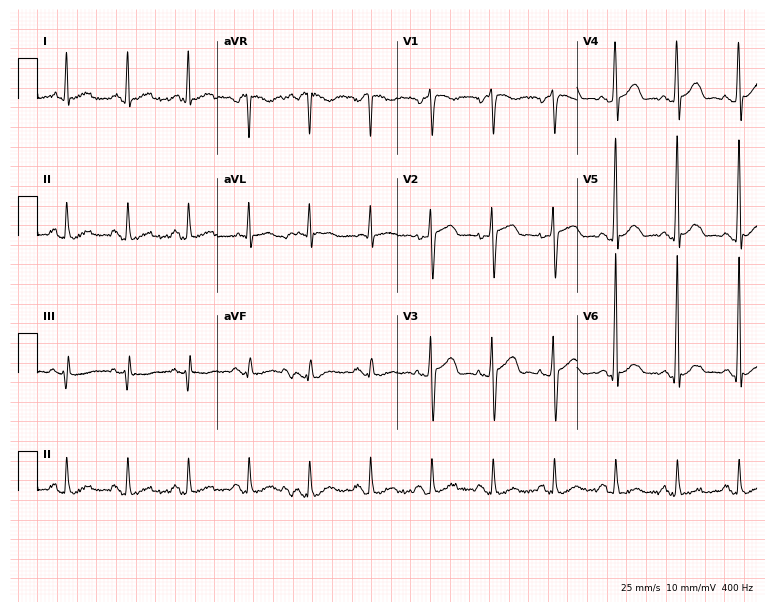
Standard 12-lead ECG recorded from a 58-year-old male. Read as a normal ECG.